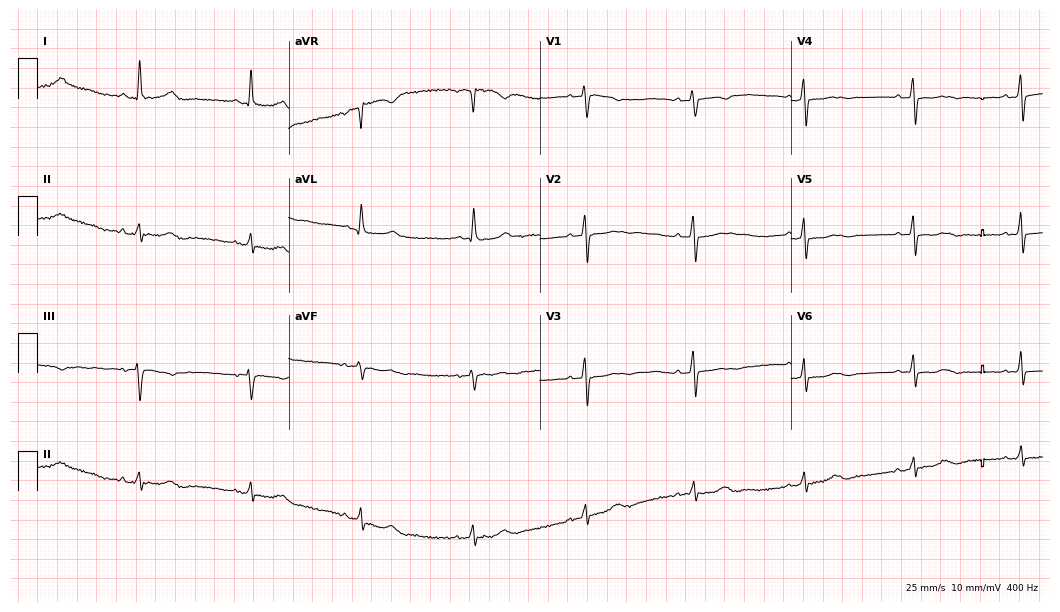
ECG (10.2-second recording at 400 Hz) — a woman, 82 years old. Screened for six findings — first-degree AV block, right bundle branch block, left bundle branch block, sinus bradycardia, atrial fibrillation, sinus tachycardia — none is recorded. Other findings, if any, are not listed.